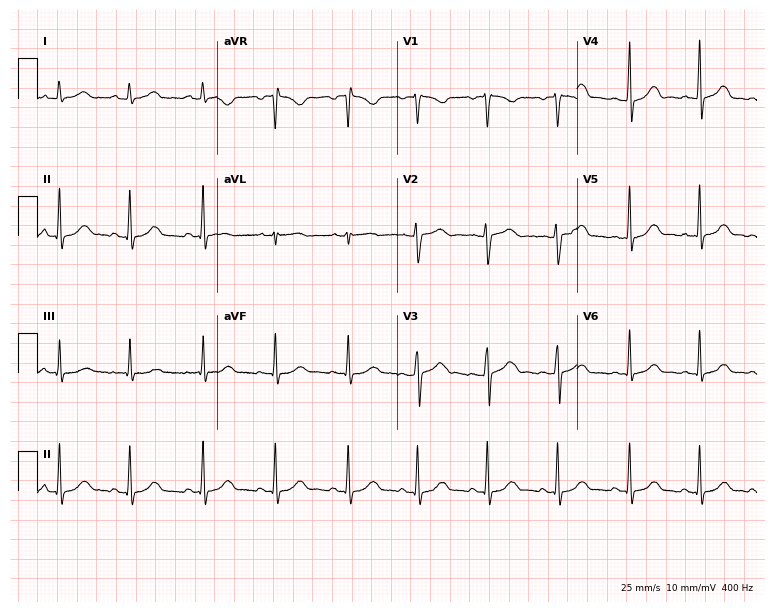
Resting 12-lead electrocardiogram. Patient: a 27-year-old woman. Read as a normal ECG.